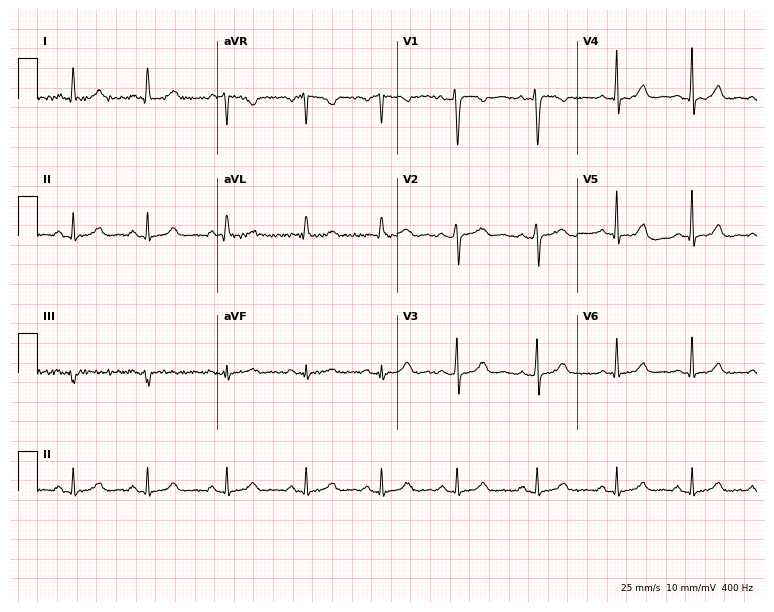
12-lead ECG from a 30-year-old female patient. Screened for six findings — first-degree AV block, right bundle branch block, left bundle branch block, sinus bradycardia, atrial fibrillation, sinus tachycardia — none is recorded.